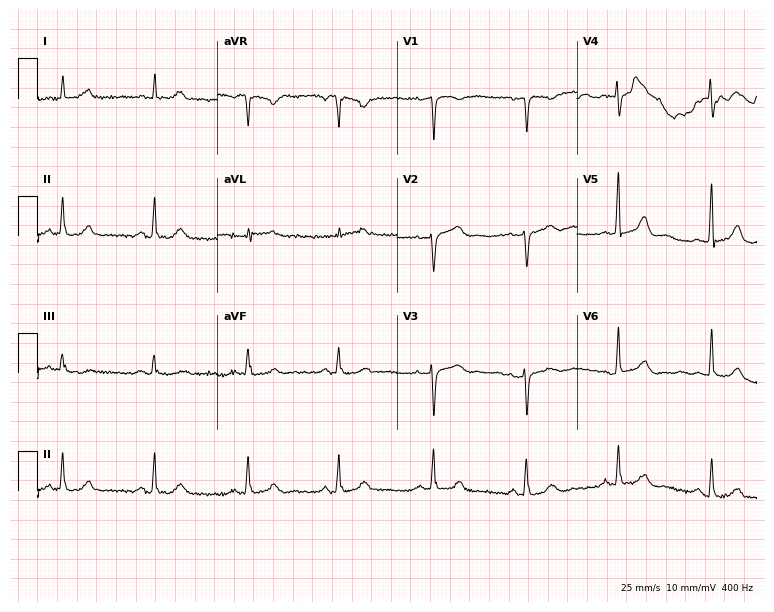
ECG (7.3-second recording at 400 Hz) — a 75-year-old female. Labelled as a normal ECG.